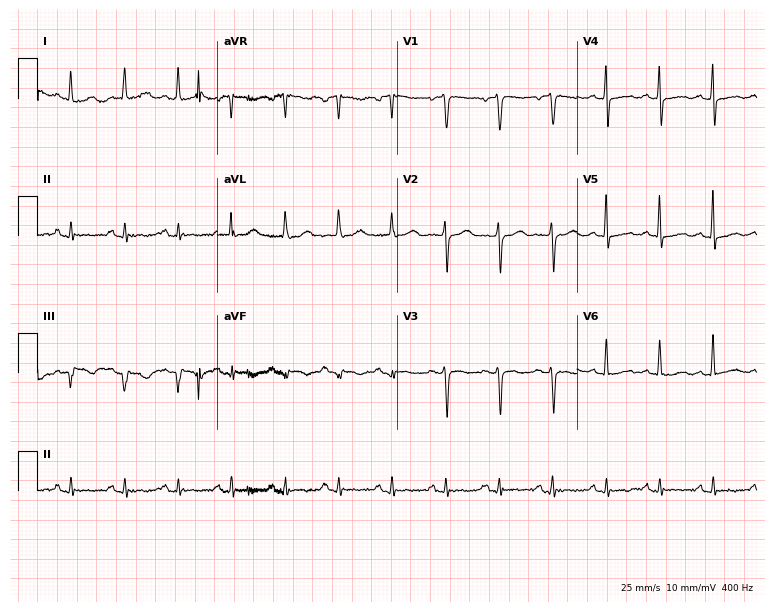
12-lead ECG from an 87-year-old woman. Findings include sinus tachycardia (a sinus rate of 100 beats per minute or more).